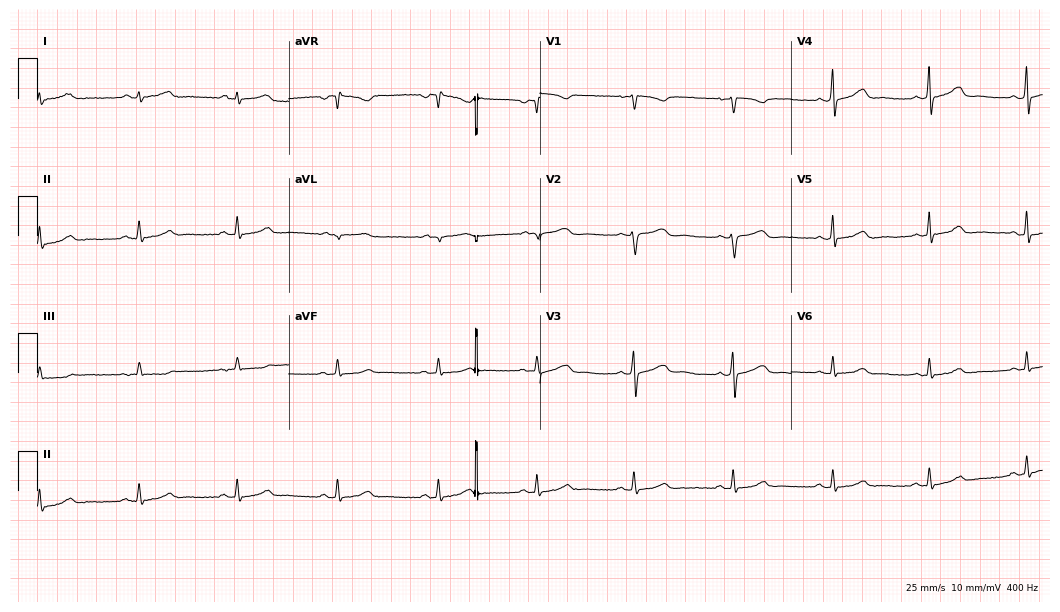
Resting 12-lead electrocardiogram (10.2-second recording at 400 Hz). Patient: a female, 33 years old. None of these six findings is recorded: first-degree AV block, right bundle branch block, left bundle branch block, sinus bradycardia, atrial fibrillation, sinus tachycardia. Only these six findings were labelled.